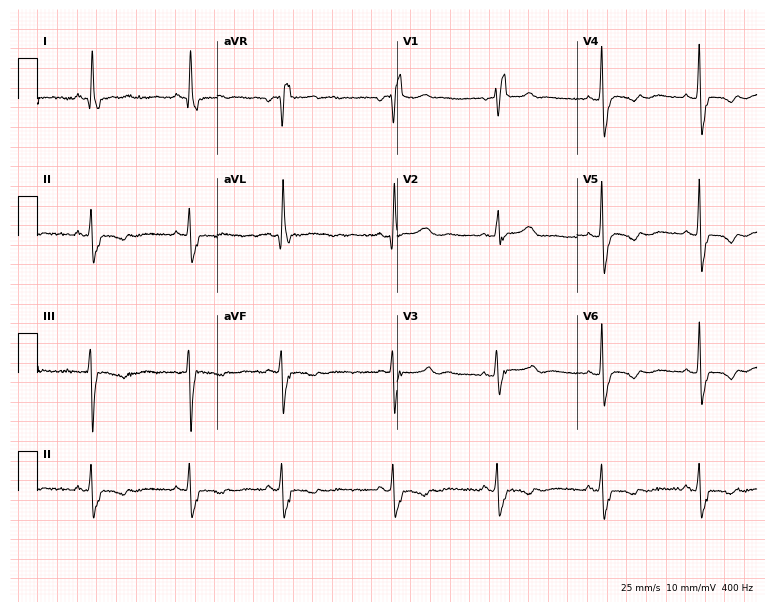
Standard 12-lead ECG recorded from a female, 56 years old. The tracing shows right bundle branch block (RBBB).